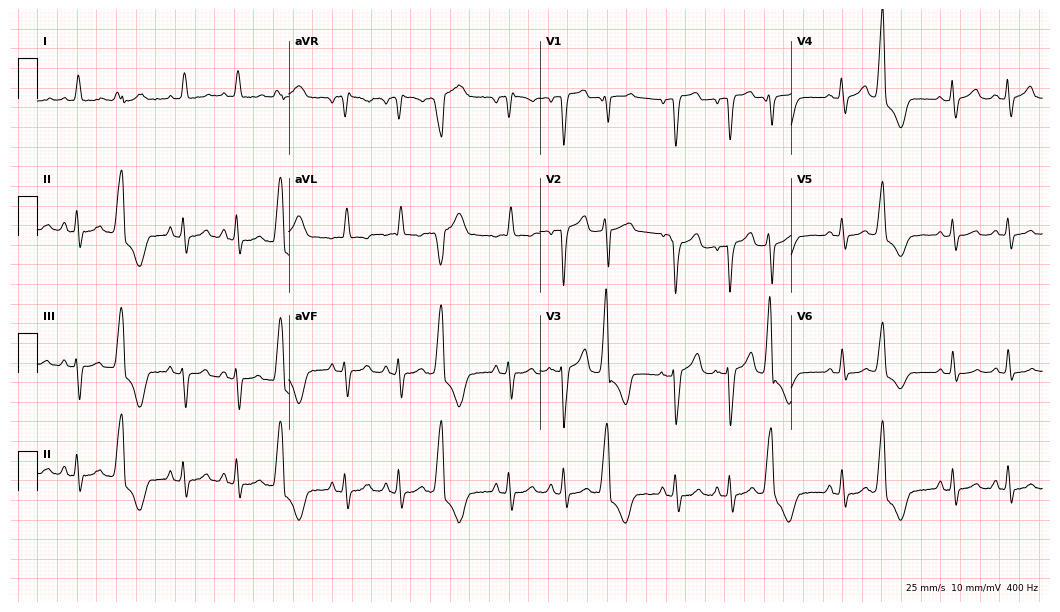
ECG (10.2-second recording at 400 Hz) — a 69-year-old woman. Findings include sinus tachycardia (a sinus rate of 100 beats per minute or more).